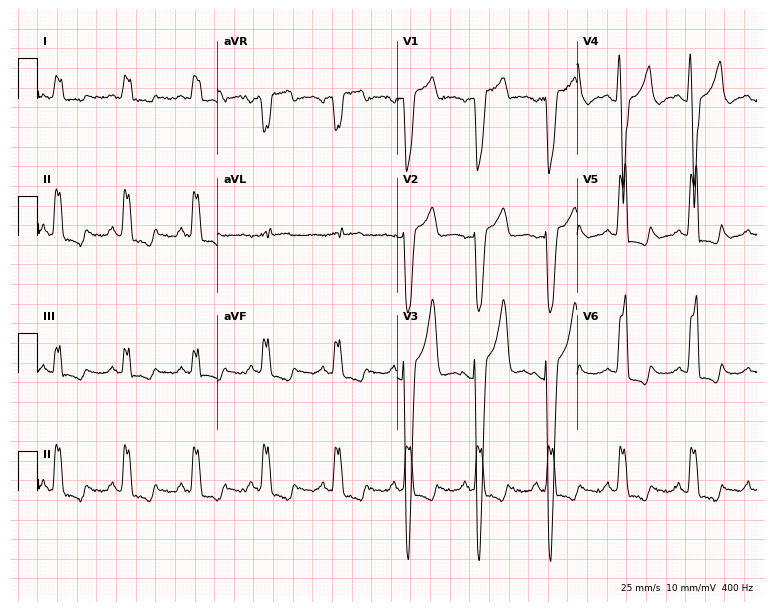
12-lead ECG from a man, 50 years old. Findings include left bundle branch block (LBBB).